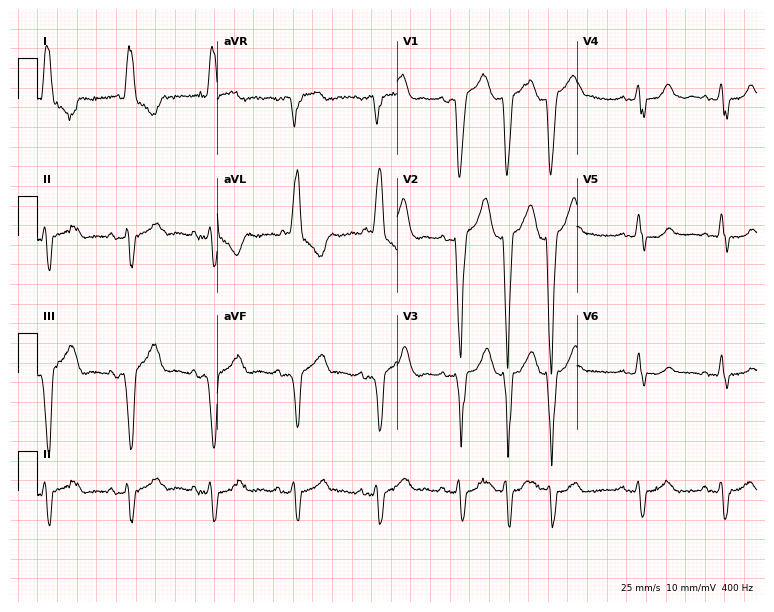
Resting 12-lead electrocardiogram (7.3-second recording at 400 Hz). Patient: a female, 71 years old. The tracing shows left bundle branch block.